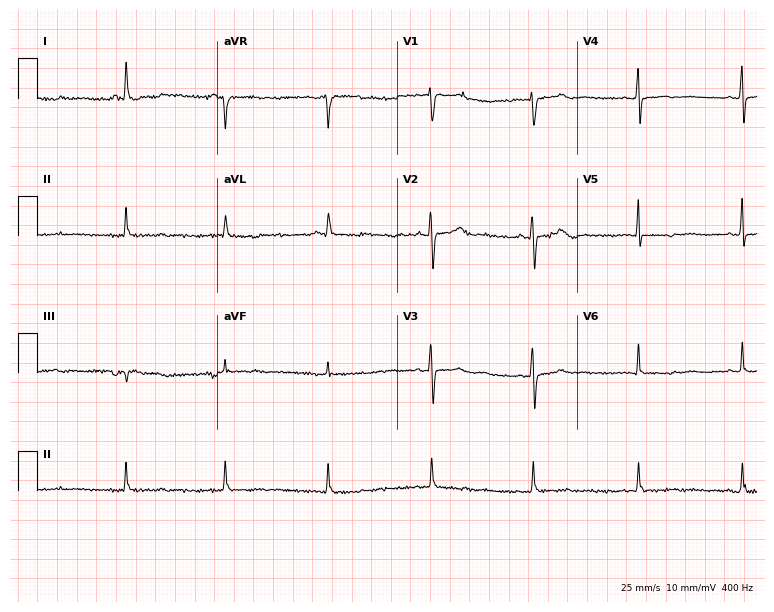
ECG (7.3-second recording at 400 Hz) — a 66-year-old woman. Labelled as a normal ECG.